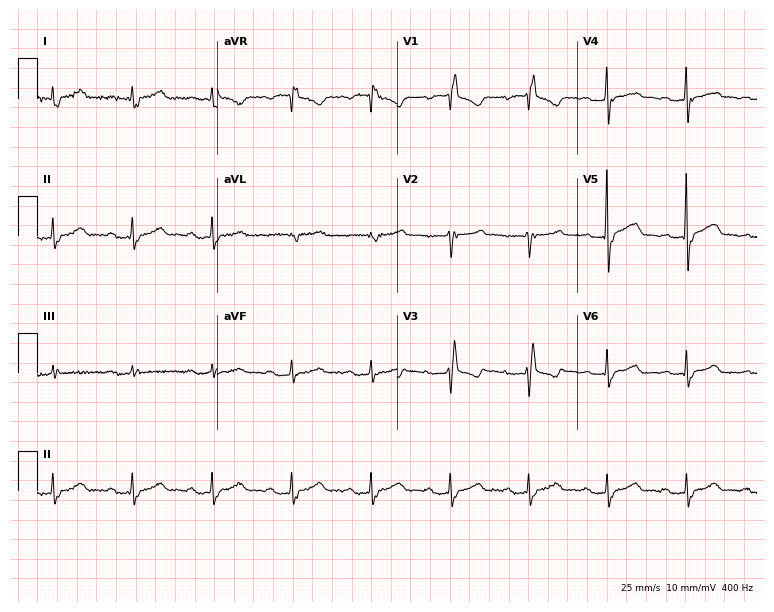
12-lead ECG from a female, 78 years old. Findings include first-degree AV block, right bundle branch block (RBBB).